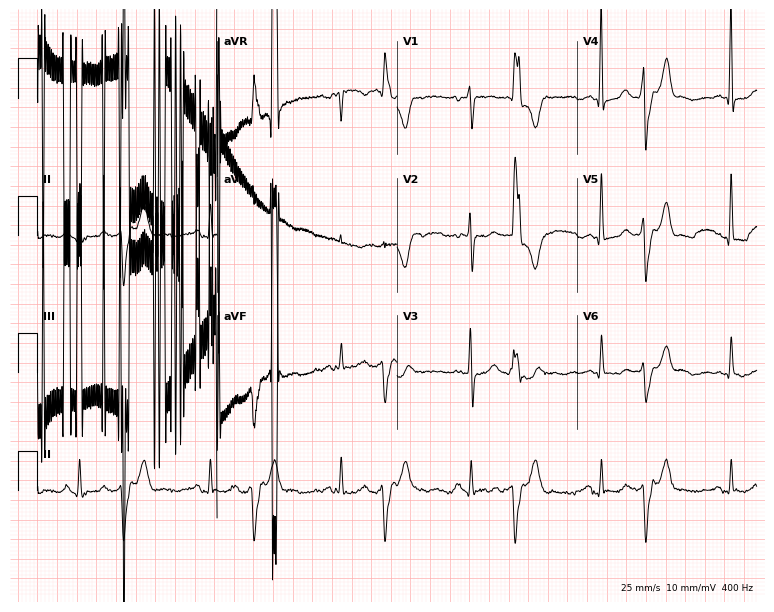
Resting 12-lead electrocardiogram (7.3-second recording at 400 Hz). Patient: an 83-year-old female. None of these six findings is recorded: first-degree AV block, right bundle branch block, left bundle branch block, sinus bradycardia, atrial fibrillation, sinus tachycardia.